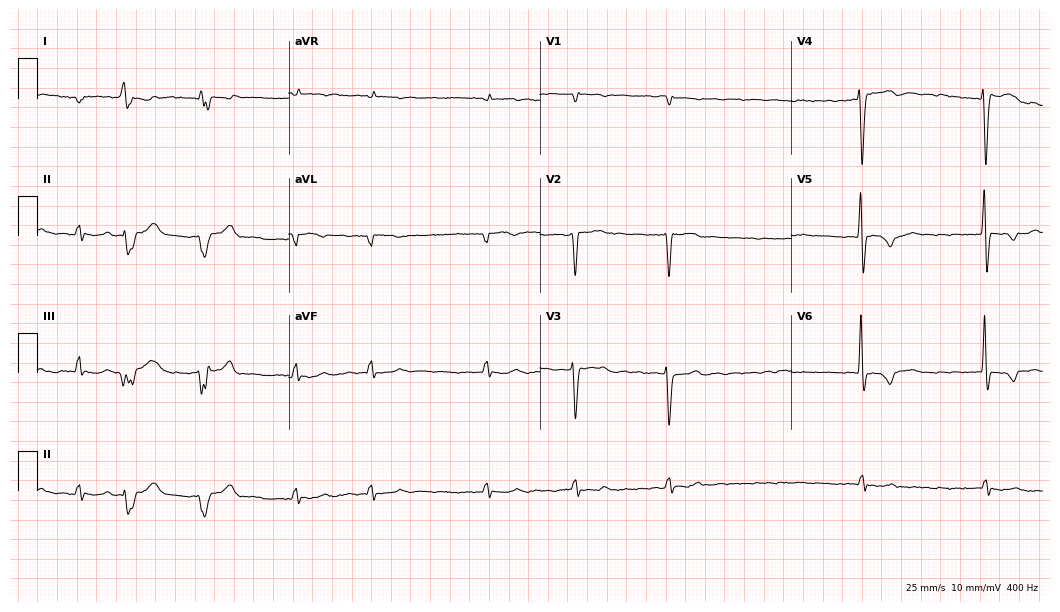
12-lead ECG from a 77-year-old woman. Findings include atrial fibrillation.